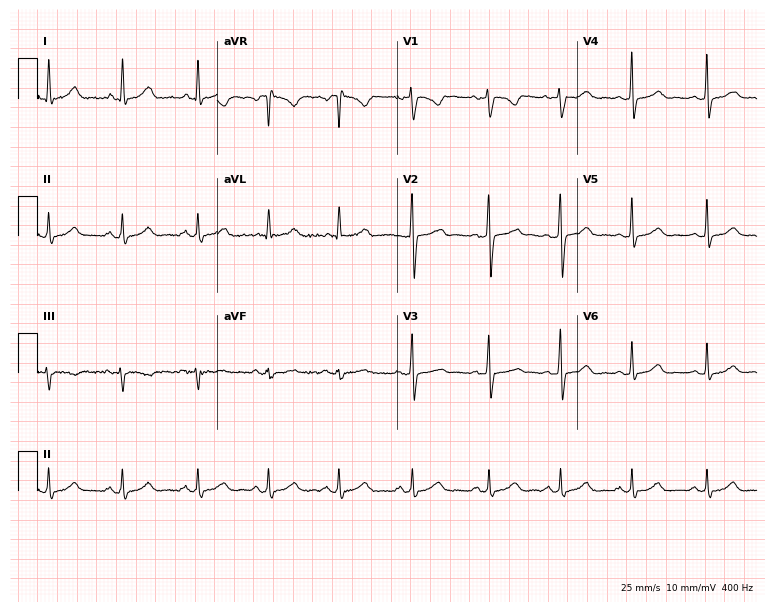
12-lead ECG from a female patient, 38 years old (7.3-second recording at 400 Hz). Recorded interpretation: within normal limits.